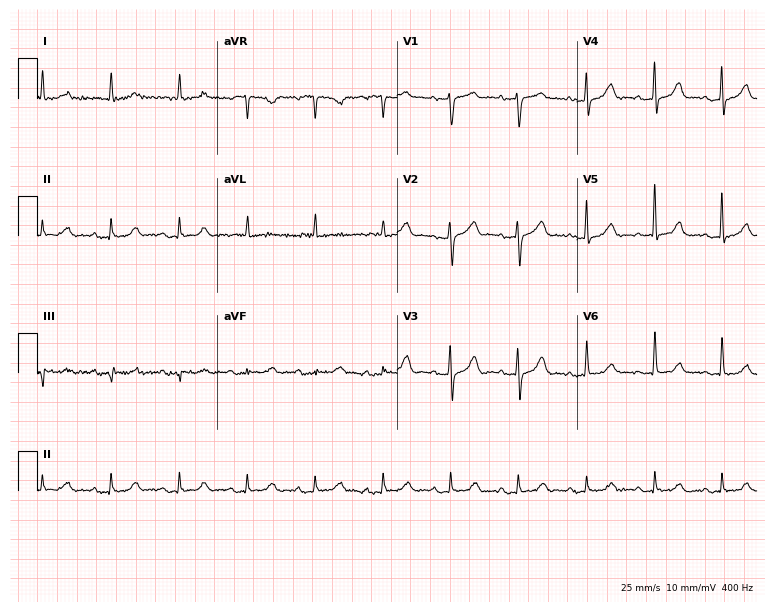
Standard 12-lead ECG recorded from a female patient, 84 years old. Read as a normal ECG.